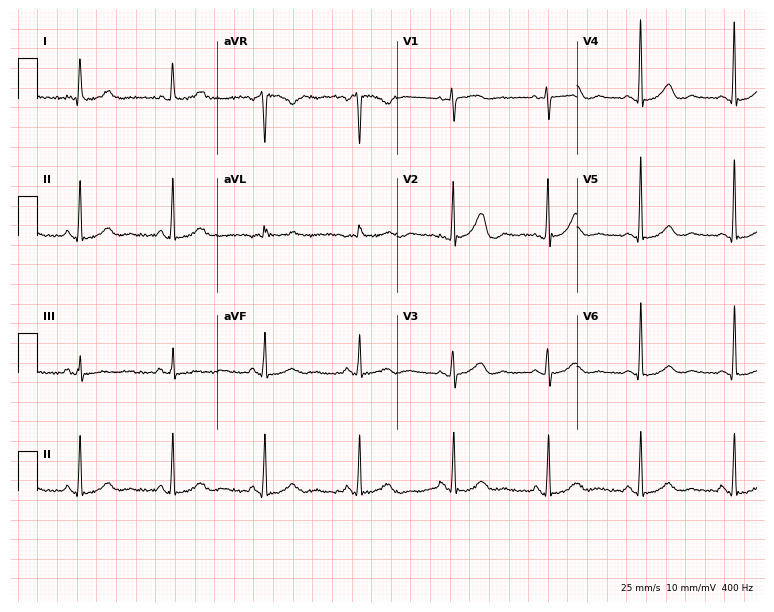
12-lead ECG from a female patient, 60 years old (7.3-second recording at 400 Hz). Recorded interpretation: within normal limits.